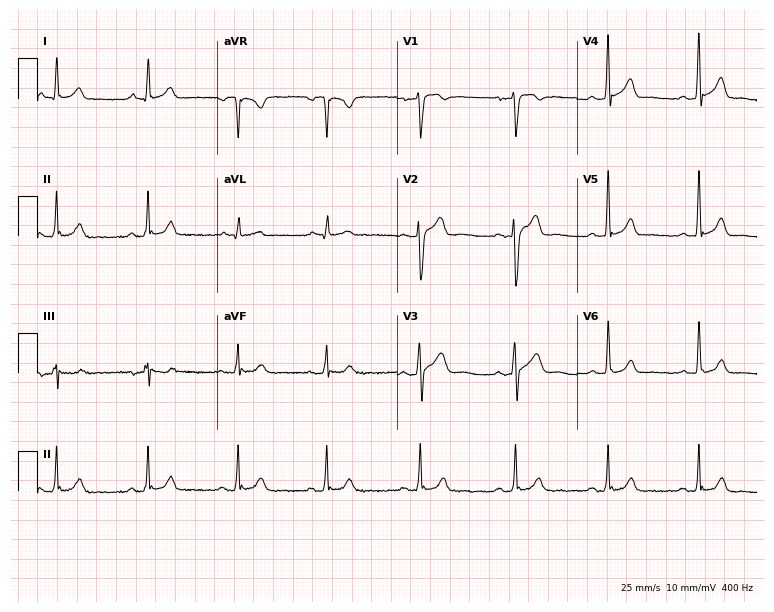
ECG (7.3-second recording at 400 Hz) — a male, 23 years old. Labelled as a normal ECG.